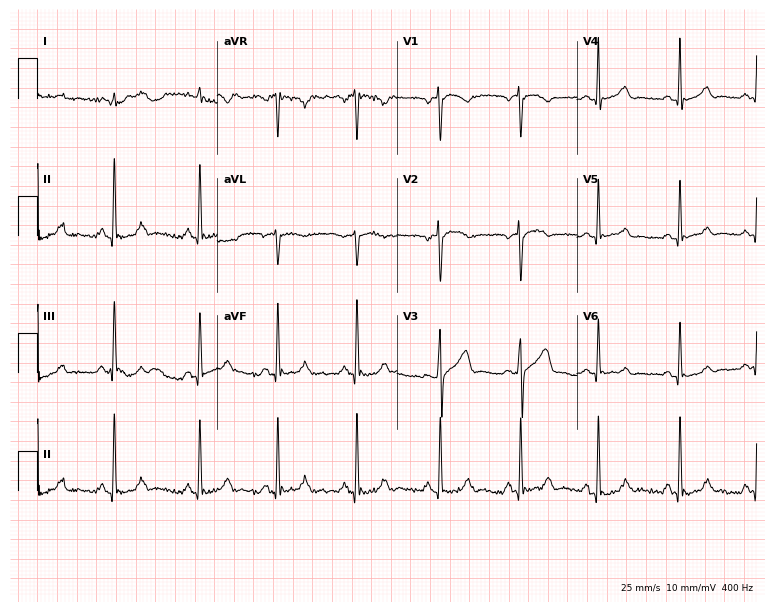
Resting 12-lead electrocardiogram. Patient: a male, 38 years old. Read as a normal ECG.